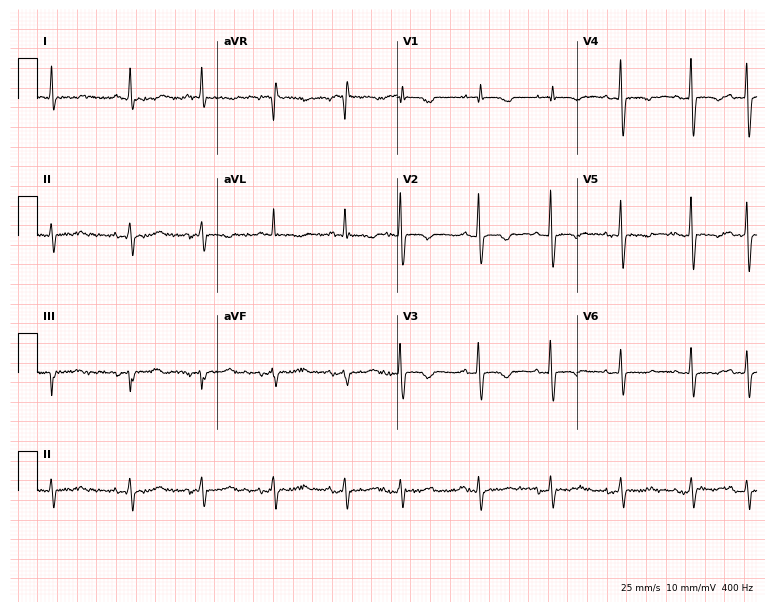
12-lead ECG from a female patient, 81 years old (7.3-second recording at 400 Hz). No first-degree AV block, right bundle branch block (RBBB), left bundle branch block (LBBB), sinus bradycardia, atrial fibrillation (AF) or sinus tachycardia recorded for this tracing. Only these six findings were labelled.